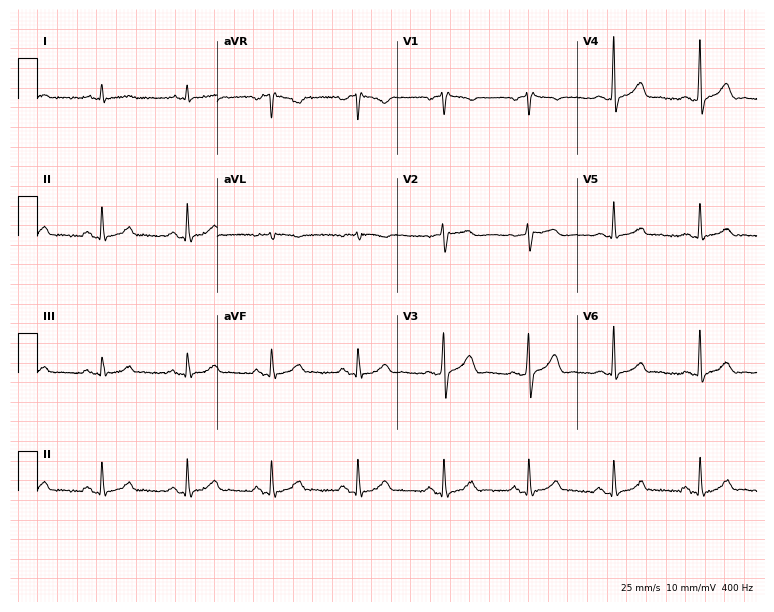
Electrocardiogram (7.3-second recording at 400 Hz), an 81-year-old male. Of the six screened findings (first-degree AV block, right bundle branch block, left bundle branch block, sinus bradycardia, atrial fibrillation, sinus tachycardia), none is recorded. Only these six findings were labelled.